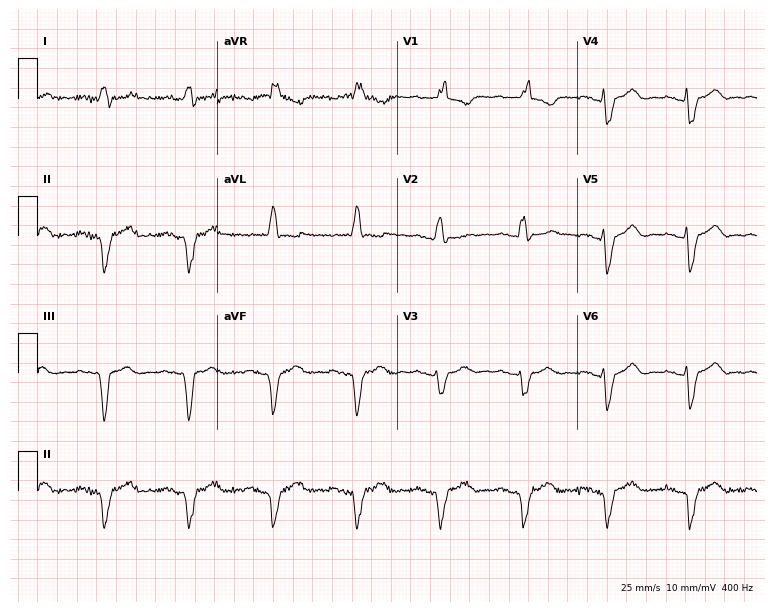
Electrocardiogram (7.3-second recording at 400 Hz), an 83-year-old male patient. Of the six screened findings (first-degree AV block, right bundle branch block, left bundle branch block, sinus bradycardia, atrial fibrillation, sinus tachycardia), none is recorded. Only these six findings were labelled.